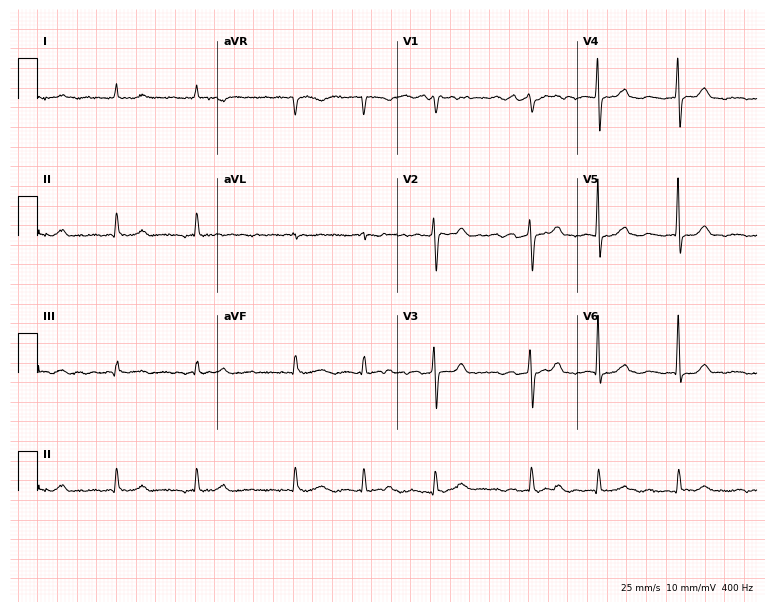
Resting 12-lead electrocardiogram. Patient: a 62-year-old female. The tracing shows atrial fibrillation.